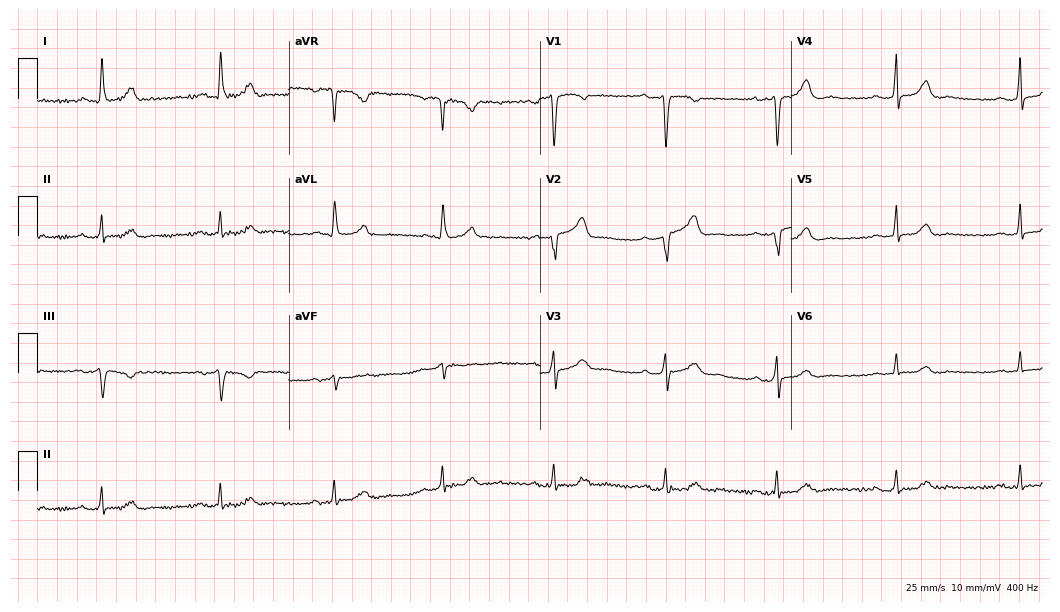
12-lead ECG from a female, 71 years old. Recorded interpretation: within normal limits.